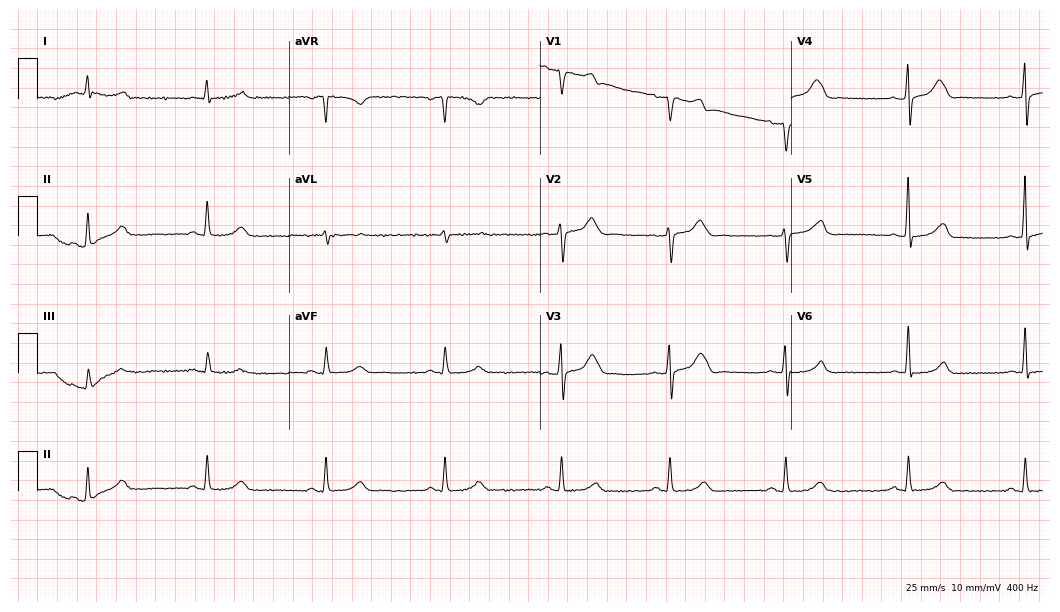
Electrocardiogram (10.2-second recording at 400 Hz), a 54-year-old male patient. Interpretation includes sinus bradycardia (a sinus rate of 50 beats per minute or less).